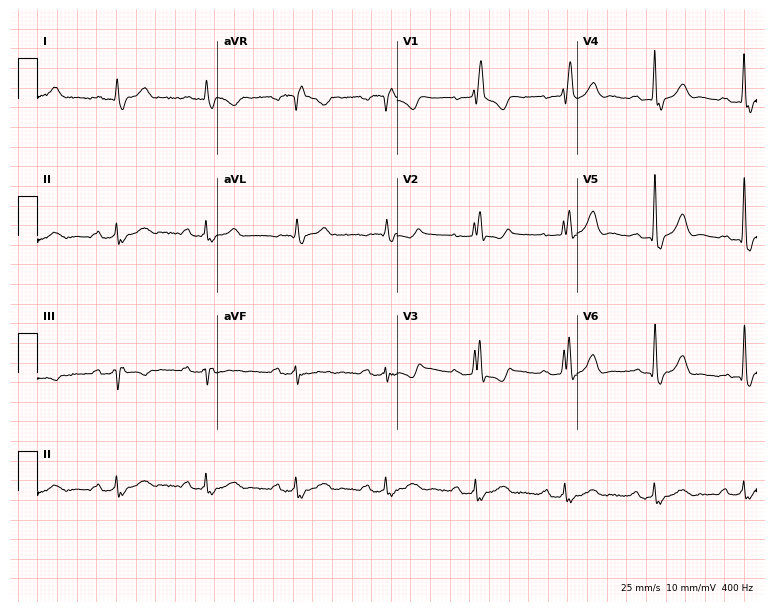
ECG — a 79-year-old male patient. Findings include right bundle branch block (RBBB).